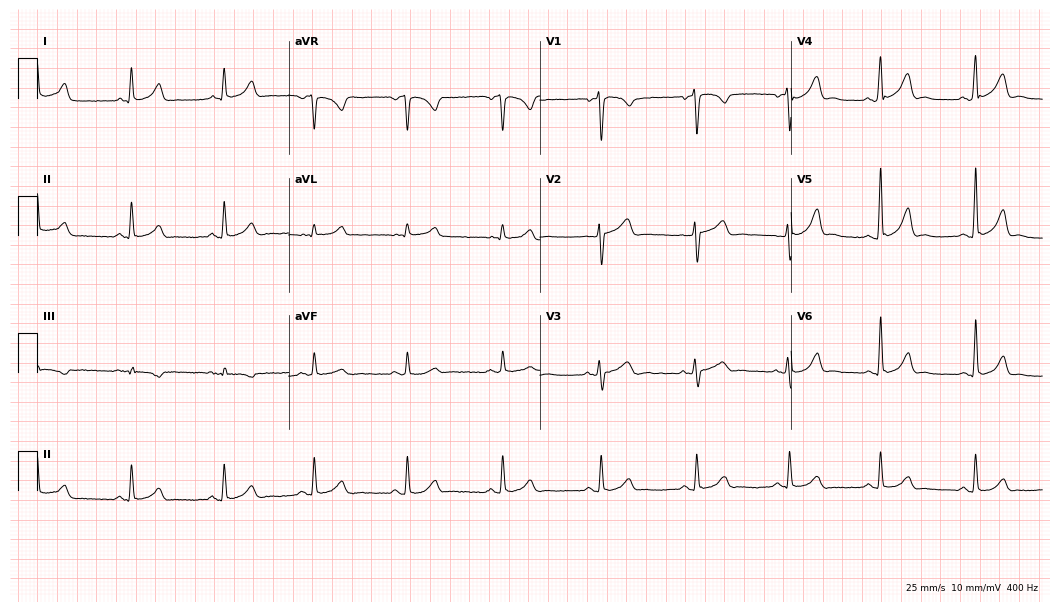
Electrocardiogram (10.2-second recording at 400 Hz), a 24-year-old male. Overall reading on record: normal ECG.